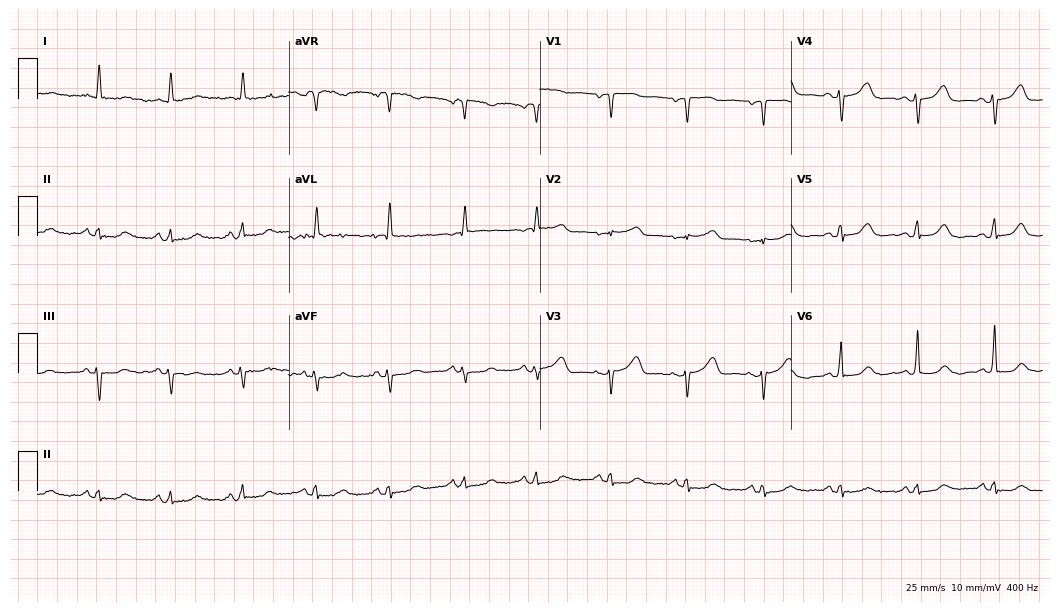
12-lead ECG (10.2-second recording at 400 Hz) from a 79-year-old female patient. Labelled as a normal ECG.